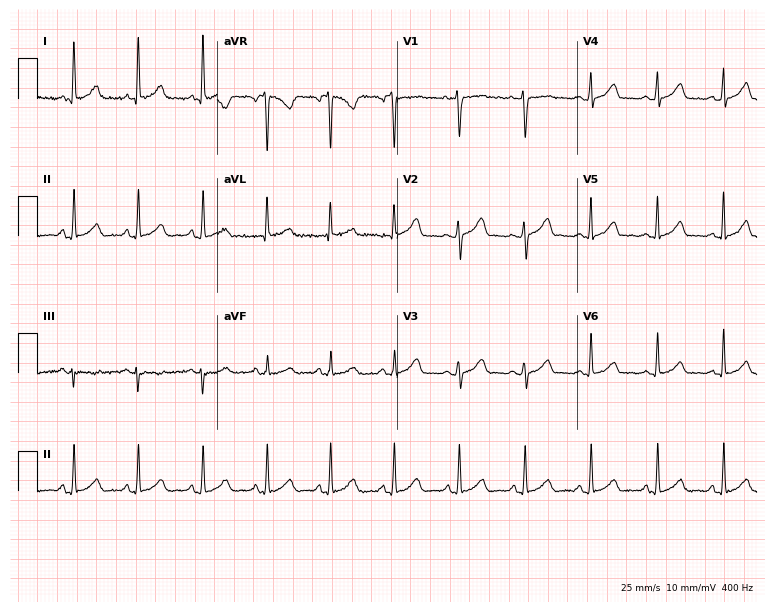
ECG (7.3-second recording at 400 Hz) — a woman, 40 years old. Labelled as a normal ECG.